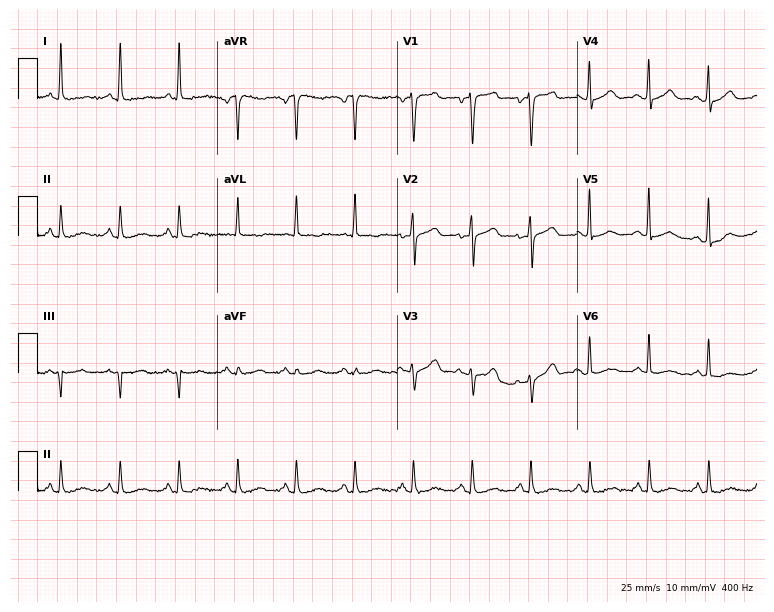
Resting 12-lead electrocardiogram. Patient: a woman, 53 years old. None of these six findings is recorded: first-degree AV block, right bundle branch block, left bundle branch block, sinus bradycardia, atrial fibrillation, sinus tachycardia.